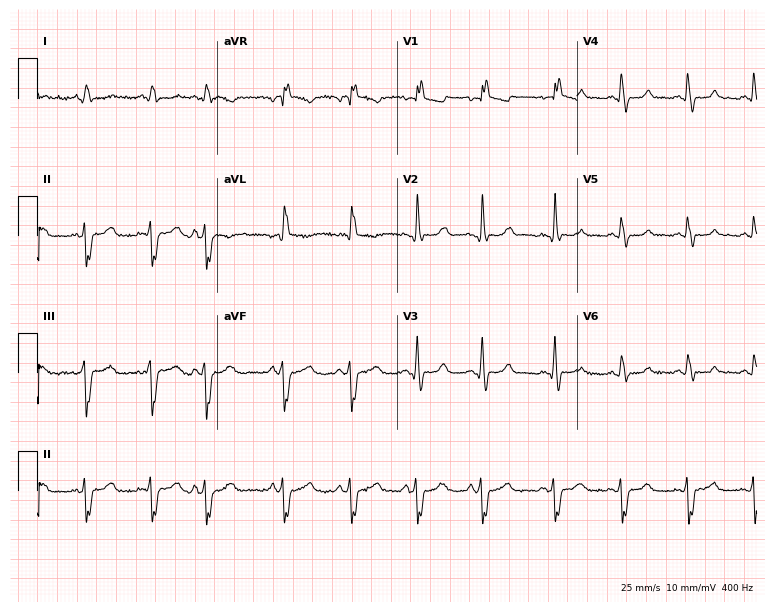
12-lead ECG from a 57-year-old female. Shows right bundle branch block (RBBB).